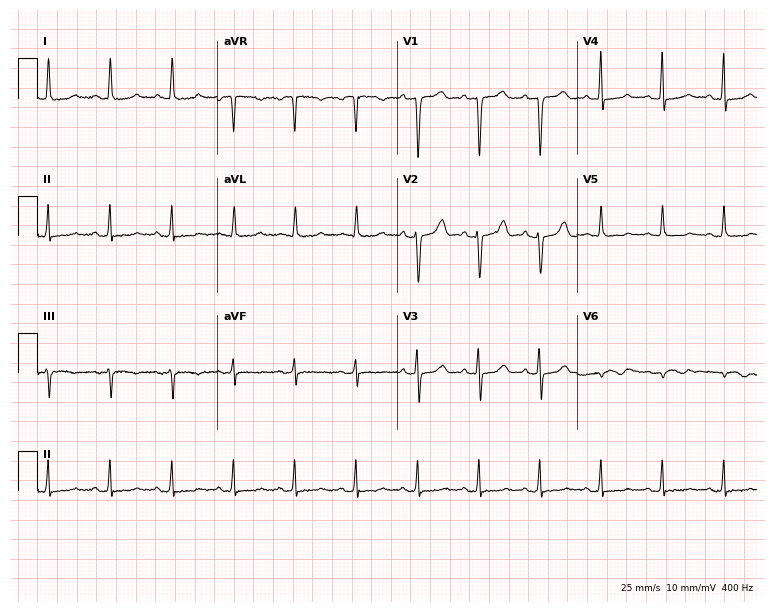
12-lead ECG from a woman, 85 years old. Screened for six findings — first-degree AV block, right bundle branch block, left bundle branch block, sinus bradycardia, atrial fibrillation, sinus tachycardia — none is recorded.